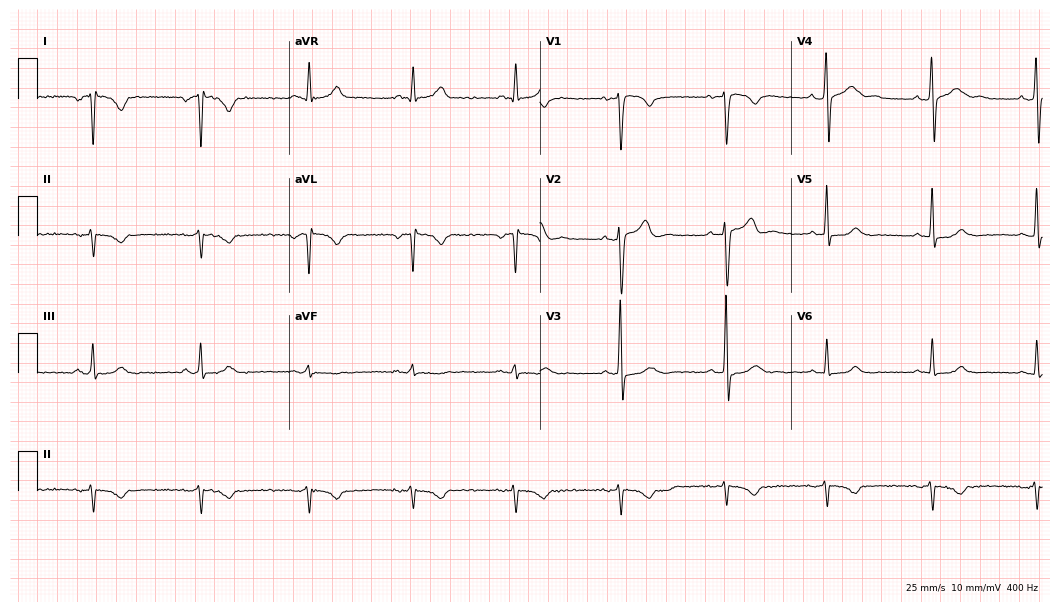
Resting 12-lead electrocardiogram (10.2-second recording at 400 Hz). Patient: a man, 31 years old. None of these six findings is recorded: first-degree AV block, right bundle branch block, left bundle branch block, sinus bradycardia, atrial fibrillation, sinus tachycardia.